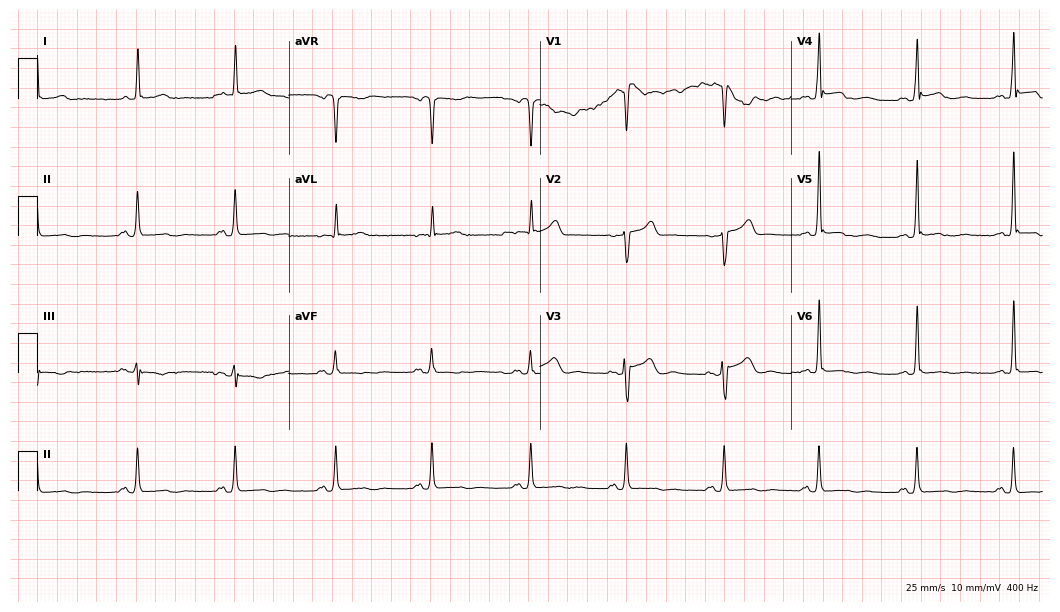
12-lead ECG from a 71-year-old male. No first-degree AV block, right bundle branch block (RBBB), left bundle branch block (LBBB), sinus bradycardia, atrial fibrillation (AF) or sinus tachycardia recorded for this tracing.